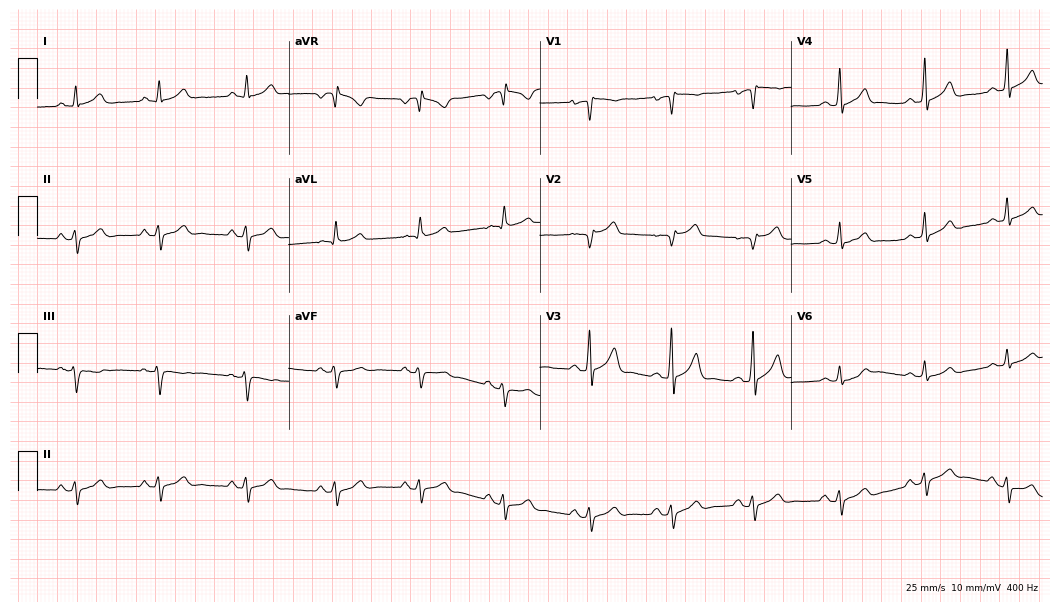
Resting 12-lead electrocardiogram (10.2-second recording at 400 Hz). Patient: a male, 43 years old. None of these six findings is recorded: first-degree AV block, right bundle branch block (RBBB), left bundle branch block (LBBB), sinus bradycardia, atrial fibrillation (AF), sinus tachycardia. Other findings, if any, are not listed.